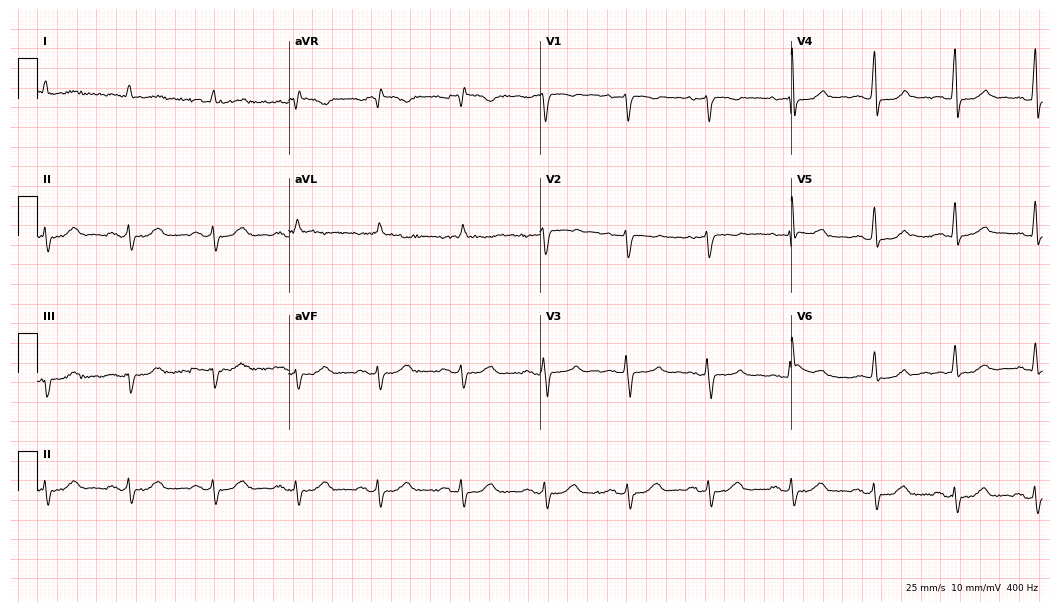
Electrocardiogram (10.2-second recording at 400 Hz), a 69-year-old female patient. Of the six screened findings (first-degree AV block, right bundle branch block, left bundle branch block, sinus bradycardia, atrial fibrillation, sinus tachycardia), none is recorded. Other findings, if any, are not listed.